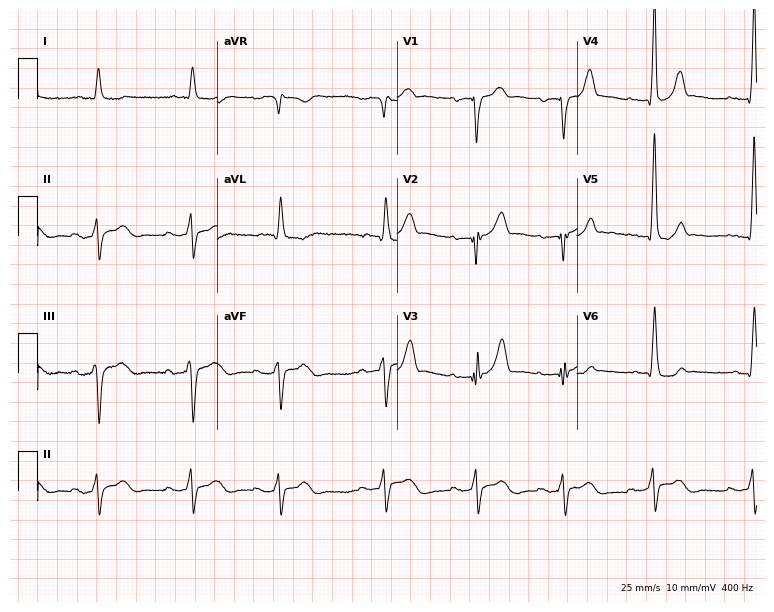
12-lead ECG from an 87-year-old male. Findings include first-degree AV block.